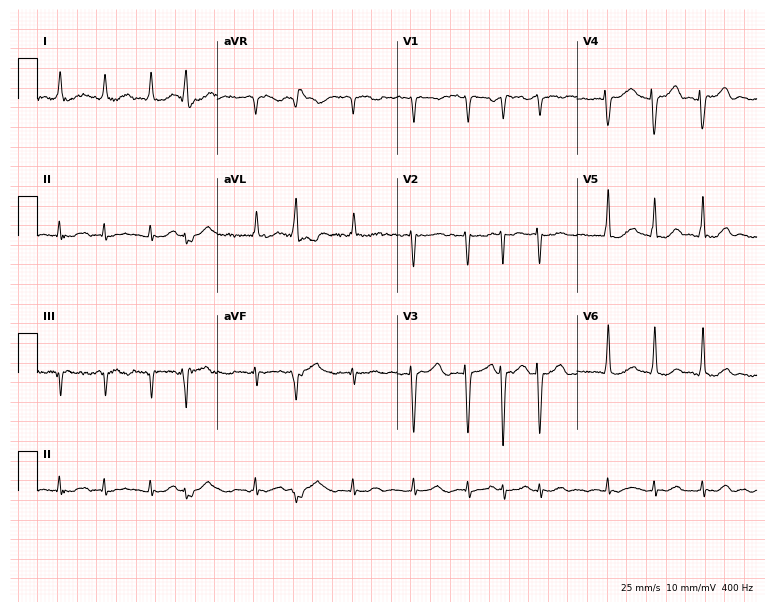
Standard 12-lead ECG recorded from a 43-year-old female (7.3-second recording at 400 Hz). The tracing shows atrial fibrillation.